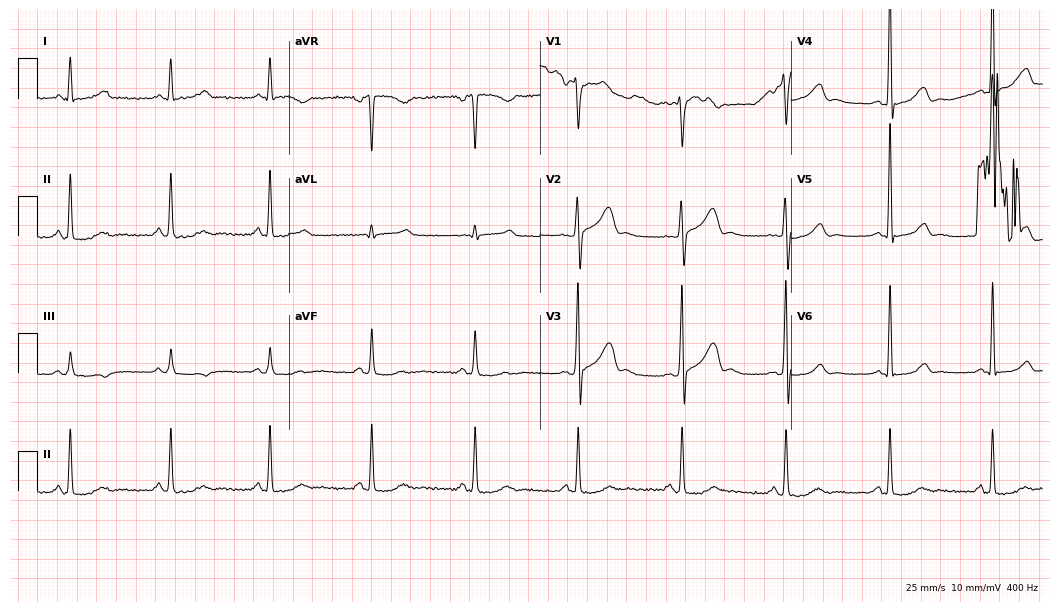
Resting 12-lead electrocardiogram (10.2-second recording at 400 Hz). Patient: a 60-year-old man. None of these six findings is recorded: first-degree AV block, right bundle branch block, left bundle branch block, sinus bradycardia, atrial fibrillation, sinus tachycardia. Other findings, if any, are not listed.